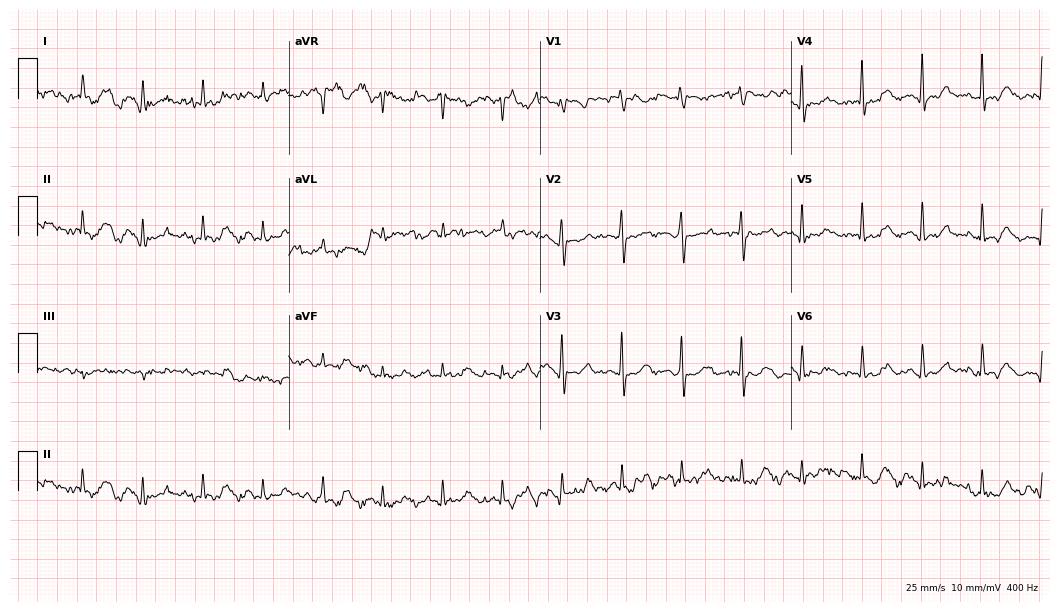
Electrocardiogram, a 77-year-old woman. Of the six screened findings (first-degree AV block, right bundle branch block (RBBB), left bundle branch block (LBBB), sinus bradycardia, atrial fibrillation (AF), sinus tachycardia), none is recorded.